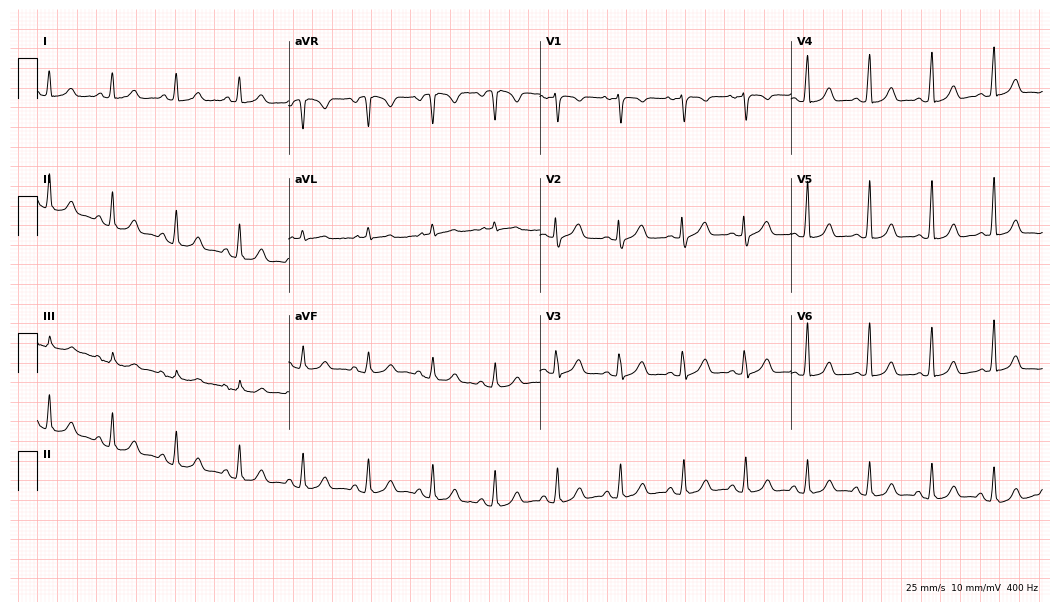
12-lead ECG from a female, 44 years old. Recorded interpretation: within normal limits.